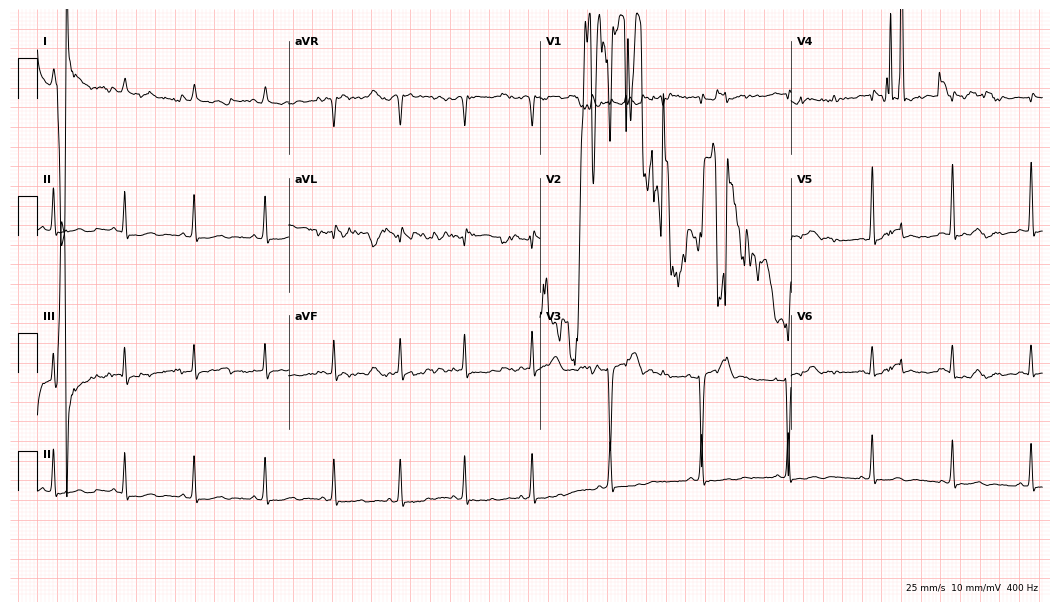
ECG (10.2-second recording at 400 Hz) — a female patient, 20 years old. Screened for six findings — first-degree AV block, right bundle branch block (RBBB), left bundle branch block (LBBB), sinus bradycardia, atrial fibrillation (AF), sinus tachycardia — none is recorded.